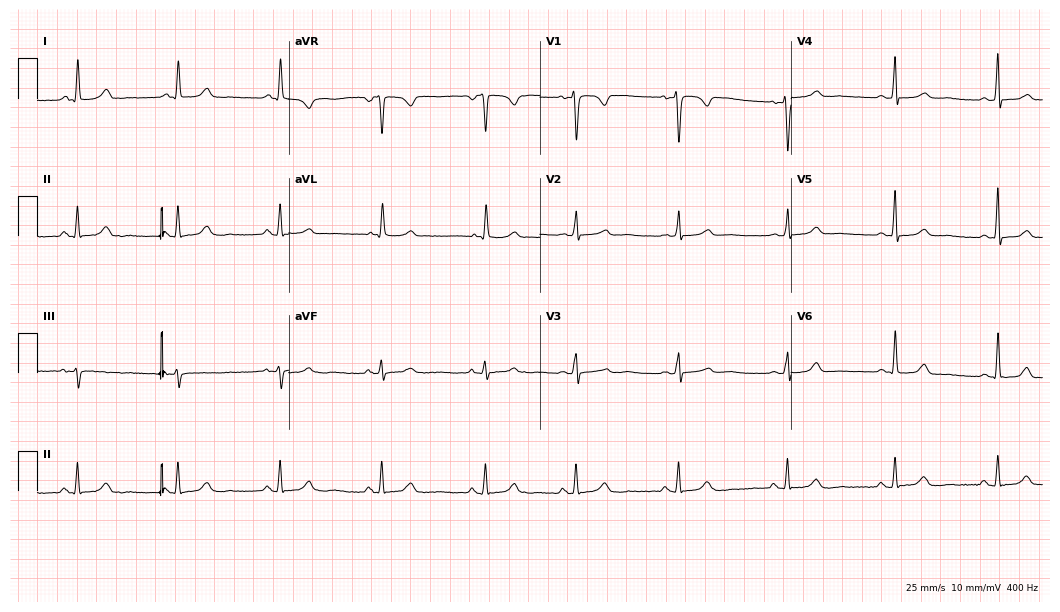
Resting 12-lead electrocardiogram (10.2-second recording at 400 Hz). Patient: a female, 39 years old. Read as a normal ECG.